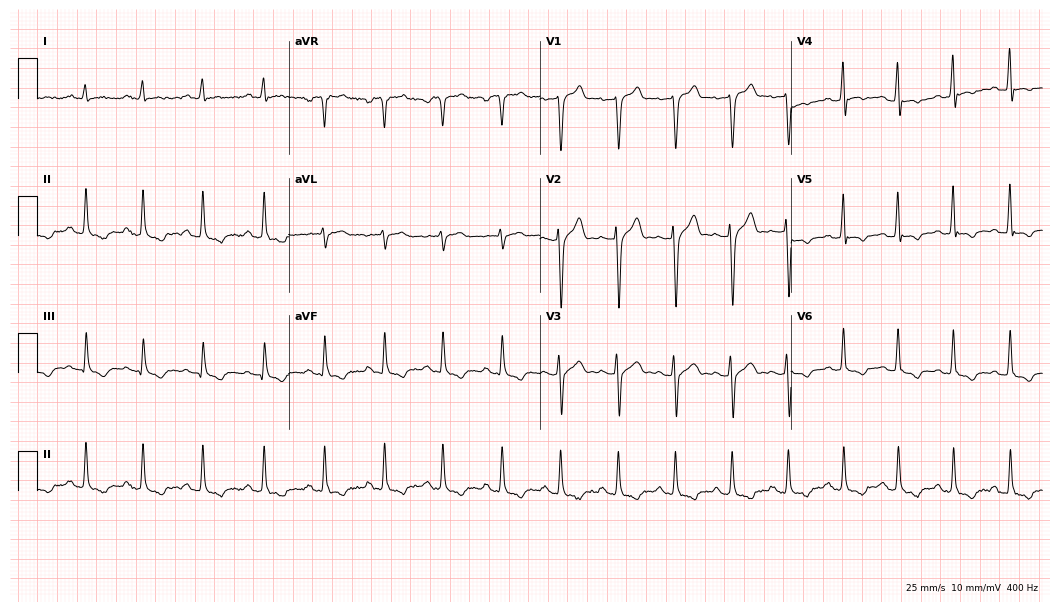
Electrocardiogram, a 24-year-old man. Of the six screened findings (first-degree AV block, right bundle branch block, left bundle branch block, sinus bradycardia, atrial fibrillation, sinus tachycardia), none is recorded. Other findings, if any, are not listed.